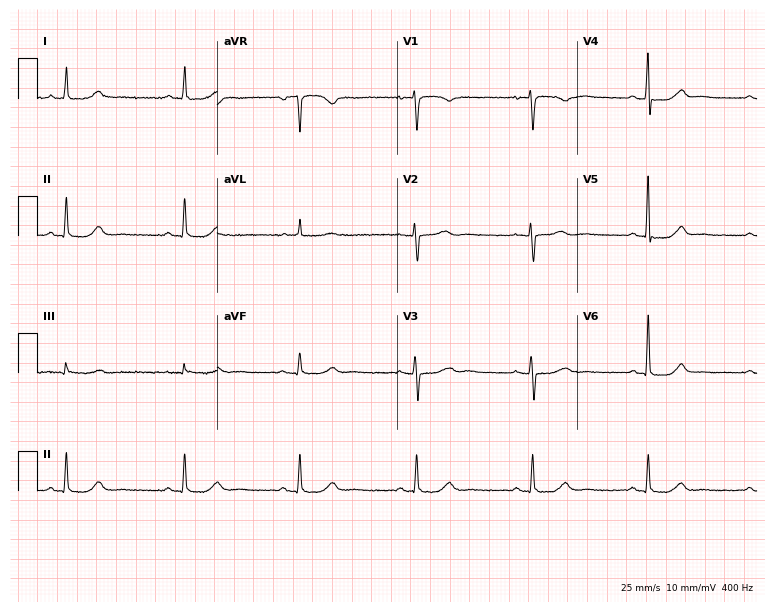
12-lead ECG from a female patient, 60 years old (7.3-second recording at 400 Hz). No first-degree AV block, right bundle branch block (RBBB), left bundle branch block (LBBB), sinus bradycardia, atrial fibrillation (AF) or sinus tachycardia recorded for this tracing. Other findings, if any, are not listed.